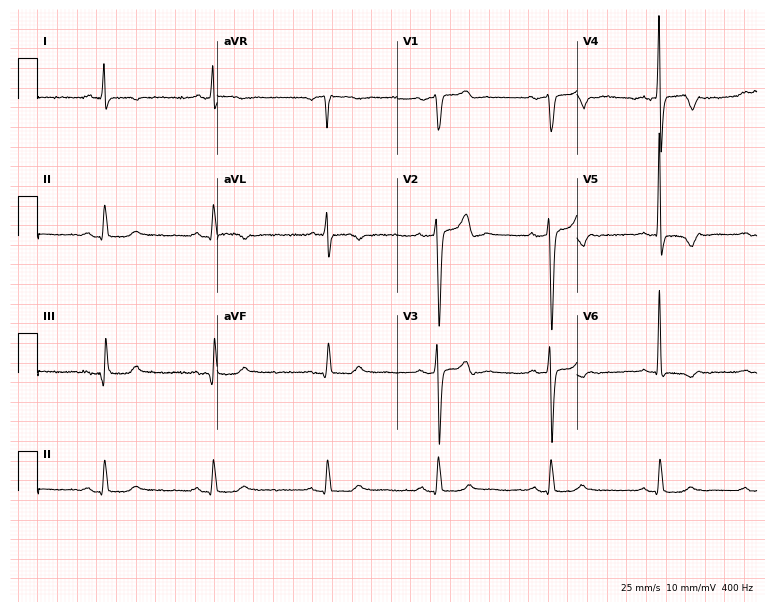
12-lead ECG (7.3-second recording at 400 Hz) from a female patient, 68 years old. Screened for six findings — first-degree AV block, right bundle branch block, left bundle branch block, sinus bradycardia, atrial fibrillation, sinus tachycardia — none is recorded.